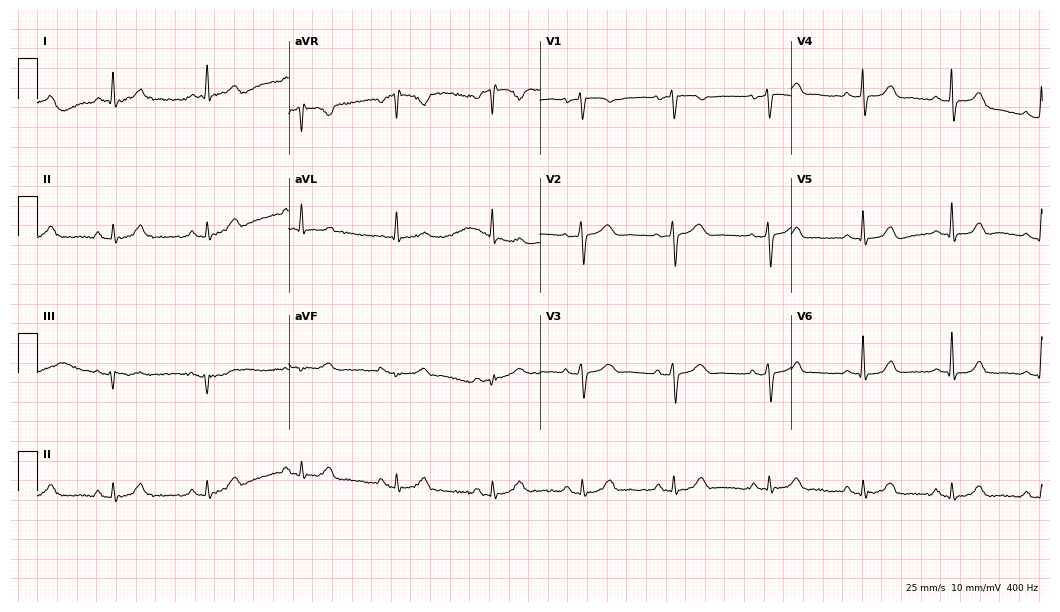
Resting 12-lead electrocardiogram (10.2-second recording at 400 Hz). Patient: a female, 54 years old. Read as a normal ECG.